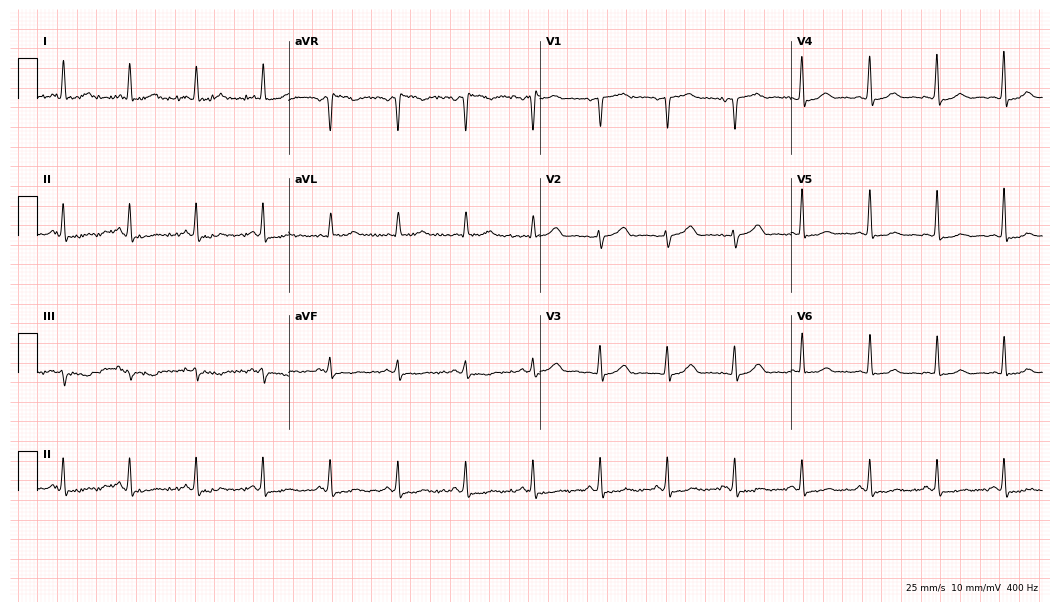
Electrocardiogram, a female patient, 55 years old. Of the six screened findings (first-degree AV block, right bundle branch block, left bundle branch block, sinus bradycardia, atrial fibrillation, sinus tachycardia), none is recorded. Findings outside these six are not listed.